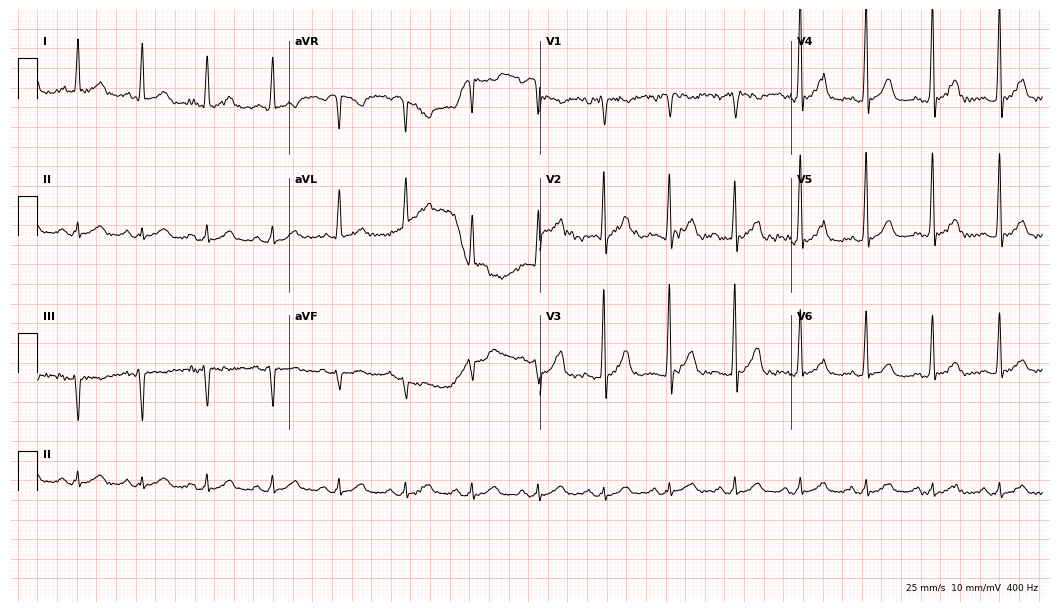
12-lead ECG from a 52-year-old male (10.2-second recording at 400 Hz). No first-degree AV block, right bundle branch block (RBBB), left bundle branch block (LBBB), sinus bradycardia, atrial fibrillation (AF) or sinus tachycardia recorded for this tracing. Other findings, if any, are not listed.